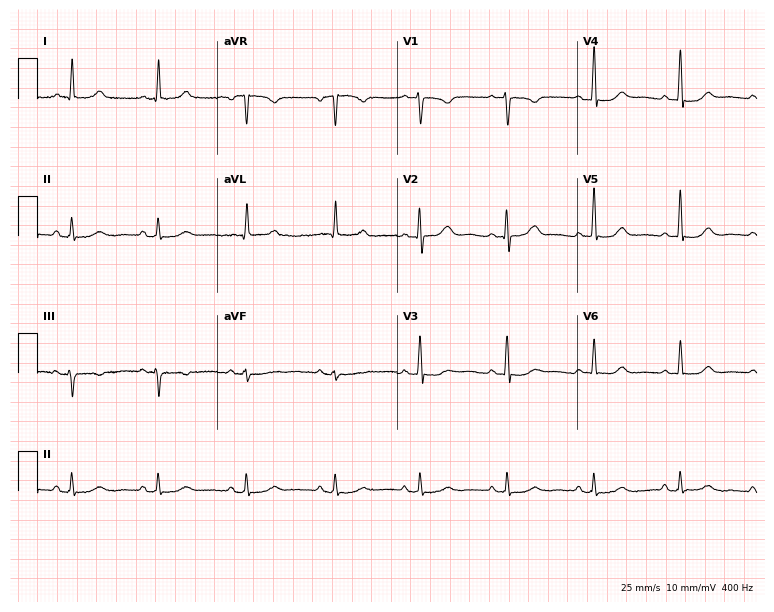
12-lead ECG from a woman, 57 years old. Screened for six findings — first-degree AV block, right bundle branch block, left bundle branch block, sinus bradycardia, atrial fibrillation, sinus tachycardia — none is recorded. Findings outside these six are not listed.